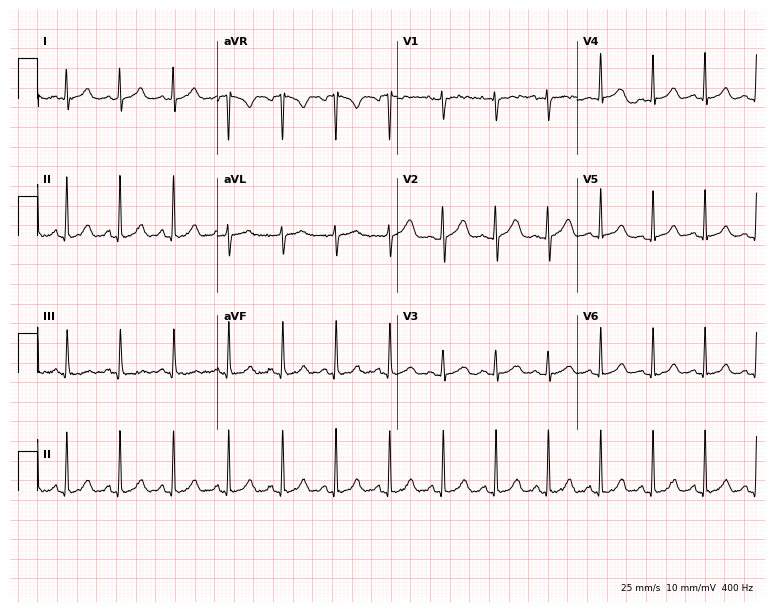
12-lead ECG from a 23-year-old female patient (7.3-second recording at 400 Hz). Shows sinus tachycardia (a sinus rate of 100 beats per minute or more).